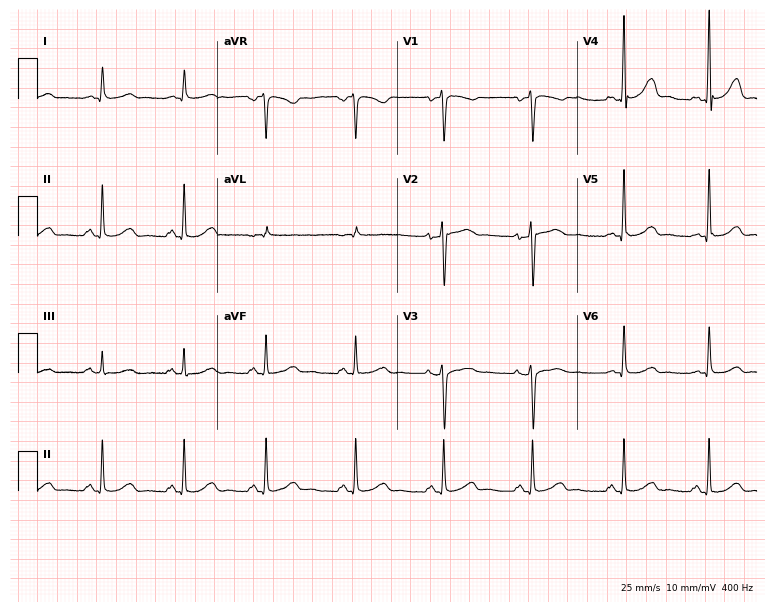
Electrocardiogram, a woman, 59 years old. Overall reading on record: normal ECG.